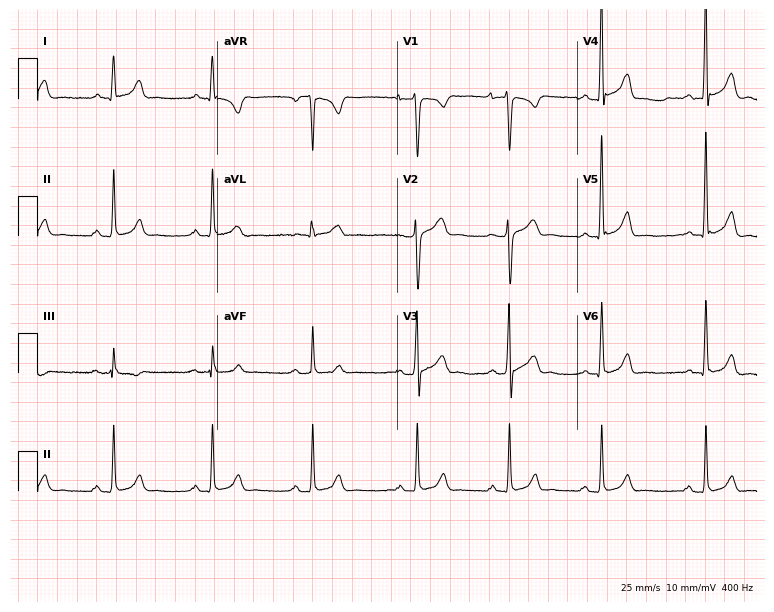
Electrocardiogram, a 28-year-old male. Of the six screened findings (first-degree AV block, right bundle branch block, left bundle branch block, sinus bradycardia, atrial fibrillation, sinus tachycardia), none is recorded.